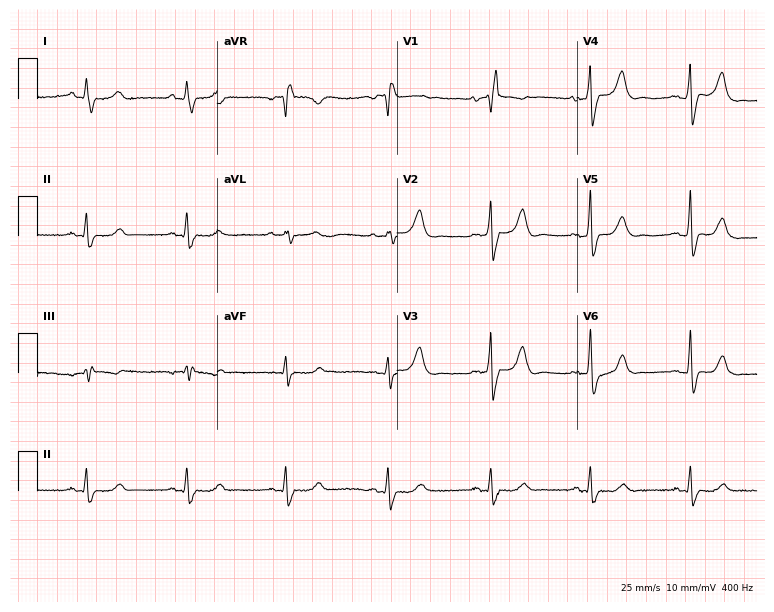
Electrocardiogram (7.3-second recording at 400 Hz), a 75-year-old woman. Interpretation includes right bundle branch block.